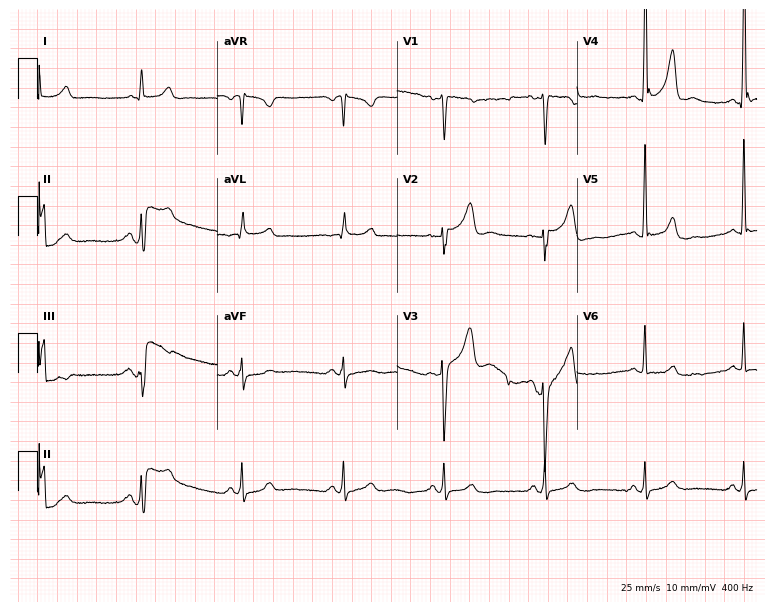
Electrocardiogram, a 57-year-old man. Overall reading on record: normal ECG.